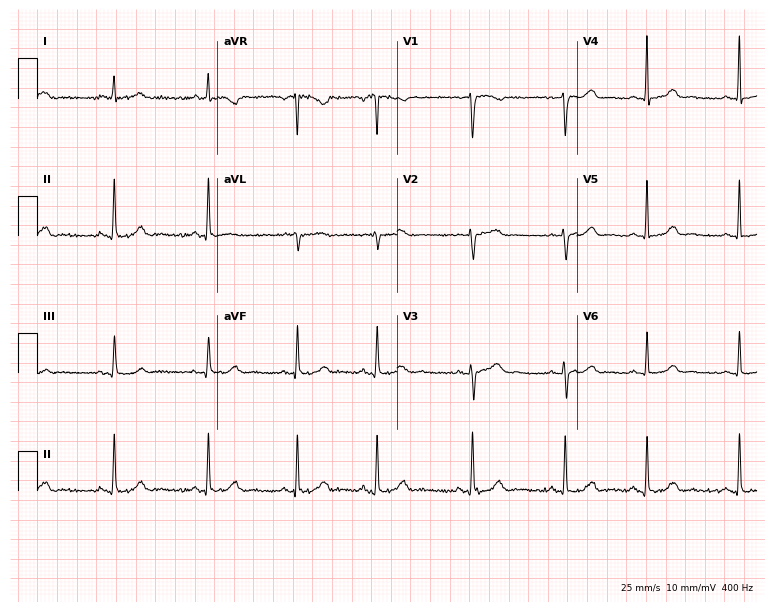
ECG (7.3-second recording at 400 Hz) — a woman, 52 years old. Labelled as a normal ECG.